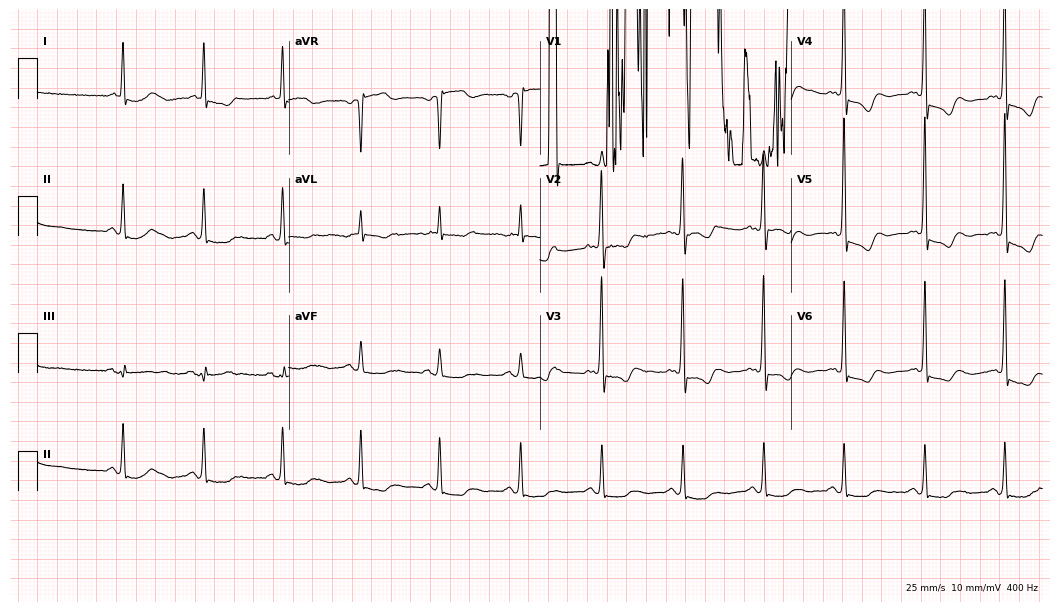
Resting 12-lead electrocardiogram (10.2-second recording at 400 Hz). Patient: a male, 80 years old. None of these six findings is recorded: first-degree AV block, right bundle branch block, left bundle branch block, sinus bradycardia, atrial fibrillation, sinus tachycardia.